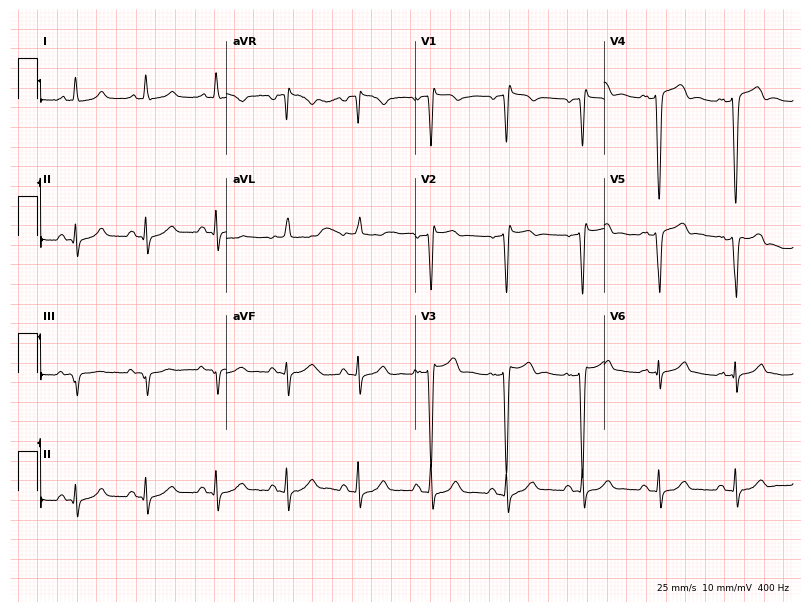
Standard 12-lead ECG recorded from a man, 69 years old (7.7-second recording at 400 Hz). None of these six findings is recorded: first-degree AV block, right bundle branch block (RBBB), left bundle branch block (LBBB), sinus bradycardia, atrial fibrillation (AF), sinus tachycardia. Only these six findings were labelled.